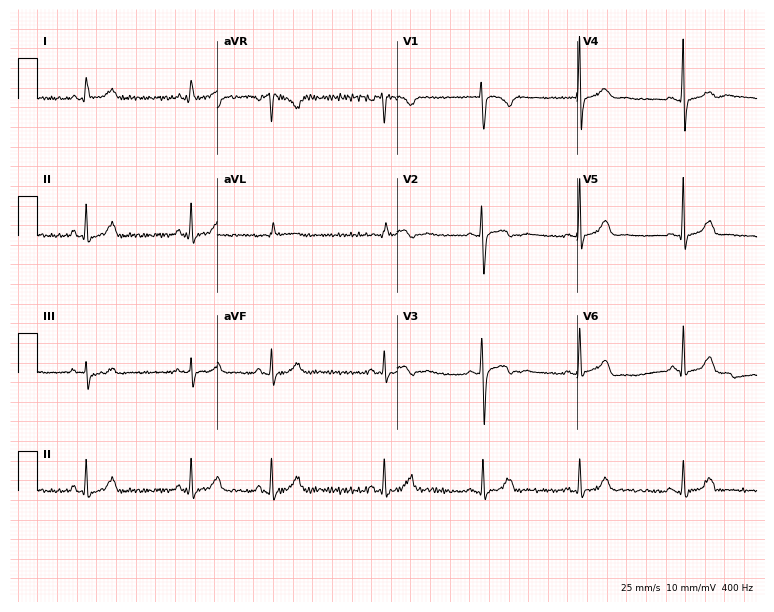
Resting 12-lead electrocardiogram (7.3-second recording at 400 Hz). Patient: a female, 17 years old. Read as a normal ECG.